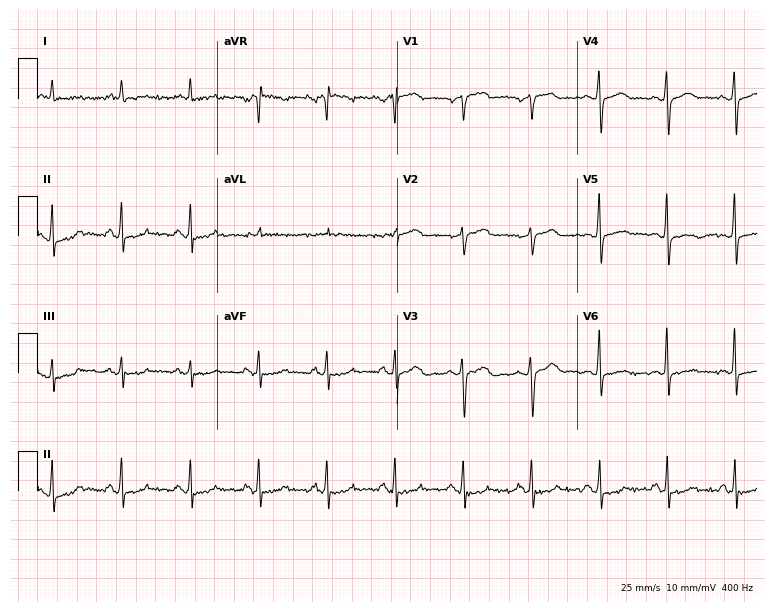
ECG (7.3-second recording at 400 Hz) — a man, 76 years old. Labelled as a normal ECG.